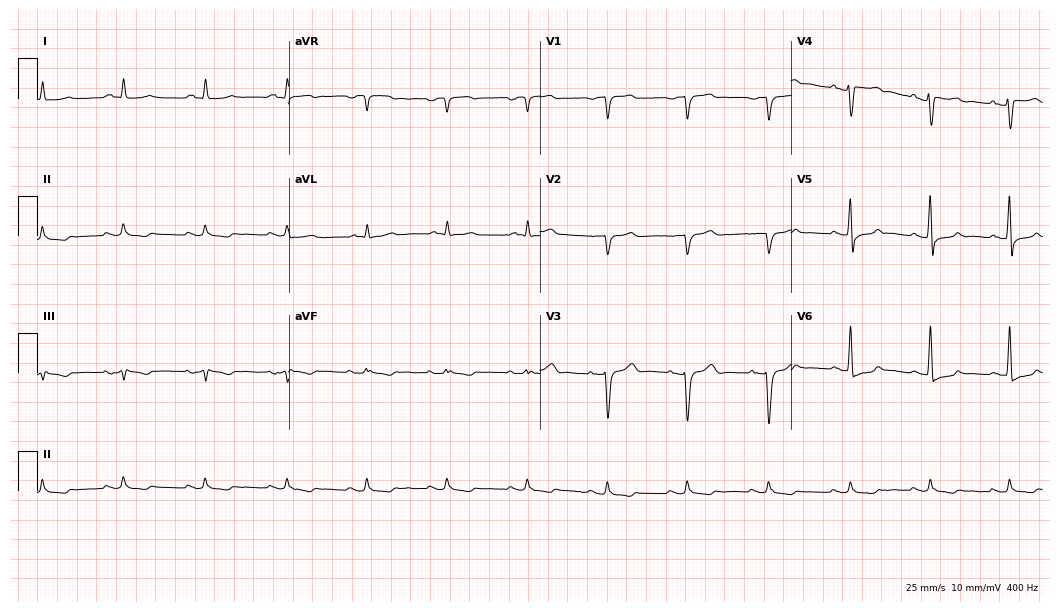
12-lead ECG from a male patient, 67 years old. Screened for six findings — first-degree AV block, right bundle branch block, left bundle branch block, sinus bradycardia, atrial fibrillation, sinus tachycardia — none is recorded. Only these six findings were labelled.